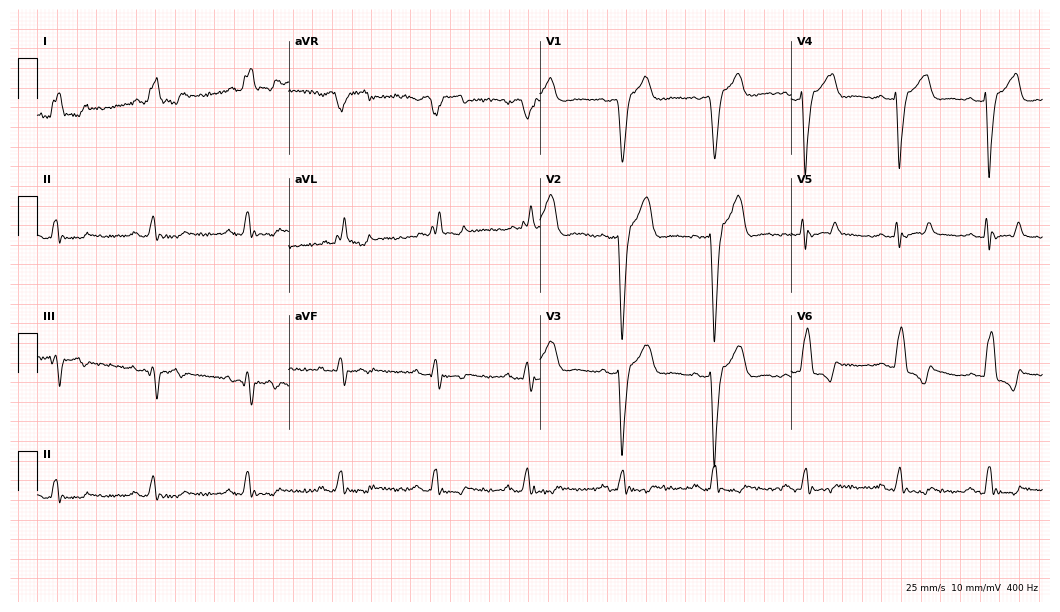
Electrocardiogram (10.2-second recording at 400 Hz), a man, 71 years old. Interpretation includes left bundle branch block.